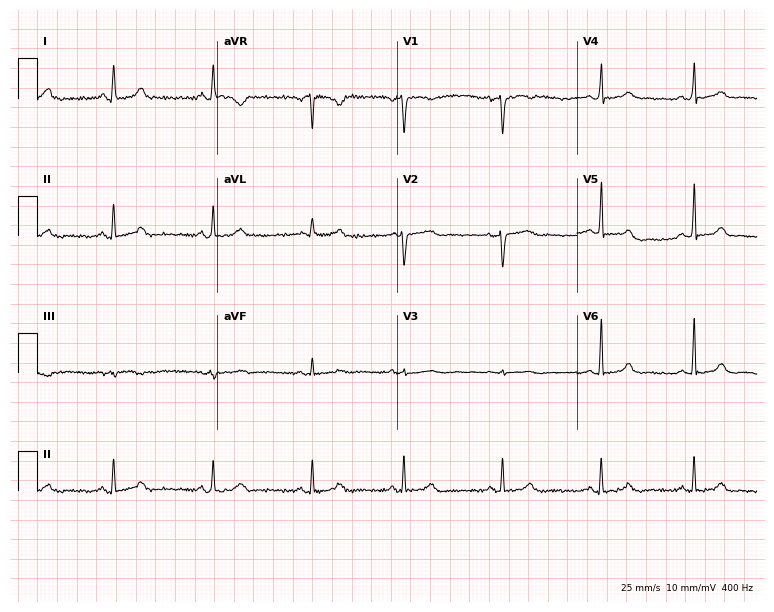
ECG (7.3-second recording at 400 Hz) — a 59-year-old woman. Labelled as a normal ECG.